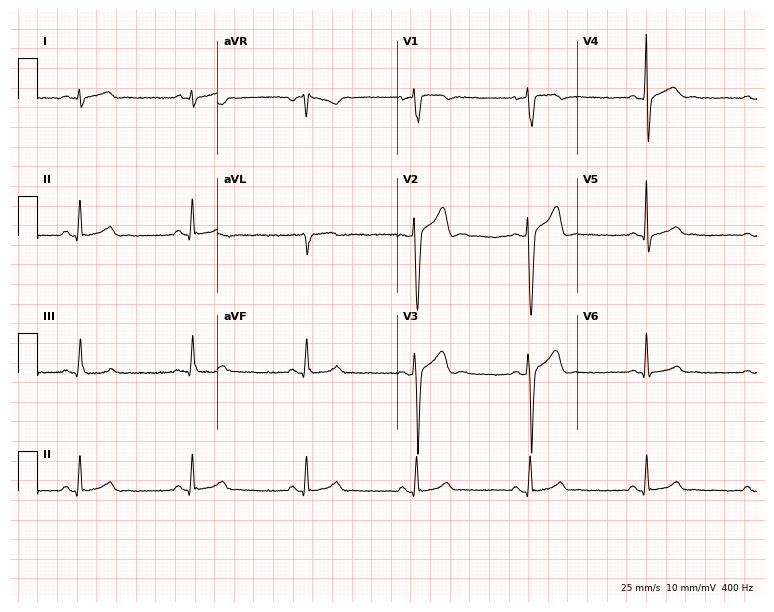
Electrocardiogram, a 27-year-old male. Of the six screened findings (first-degree AV block, right bundle branch block (RBBB), left bundle branch block (LBBB), sinus bradycardia, atrial fibrillation (AF), sinus tachycardia), none is recorded.